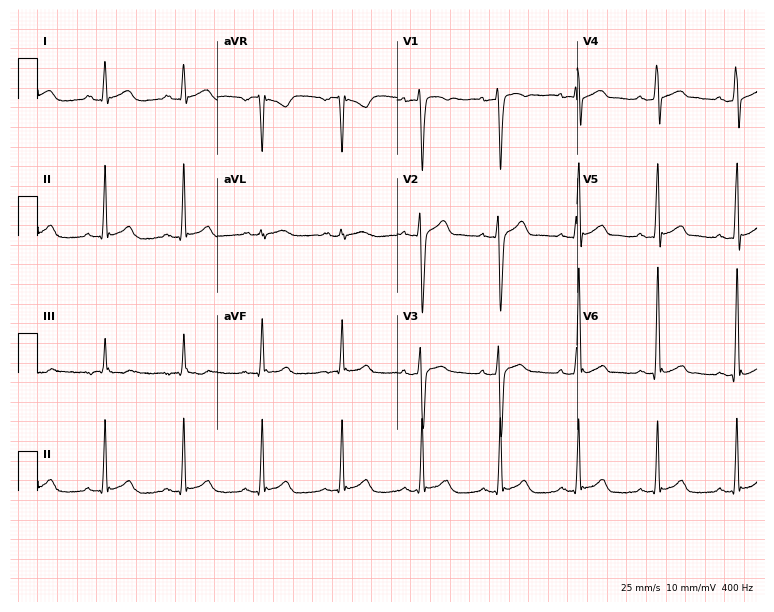
12-lead ECG from a male patient, 30 years old. Labelled as a normal ECG.